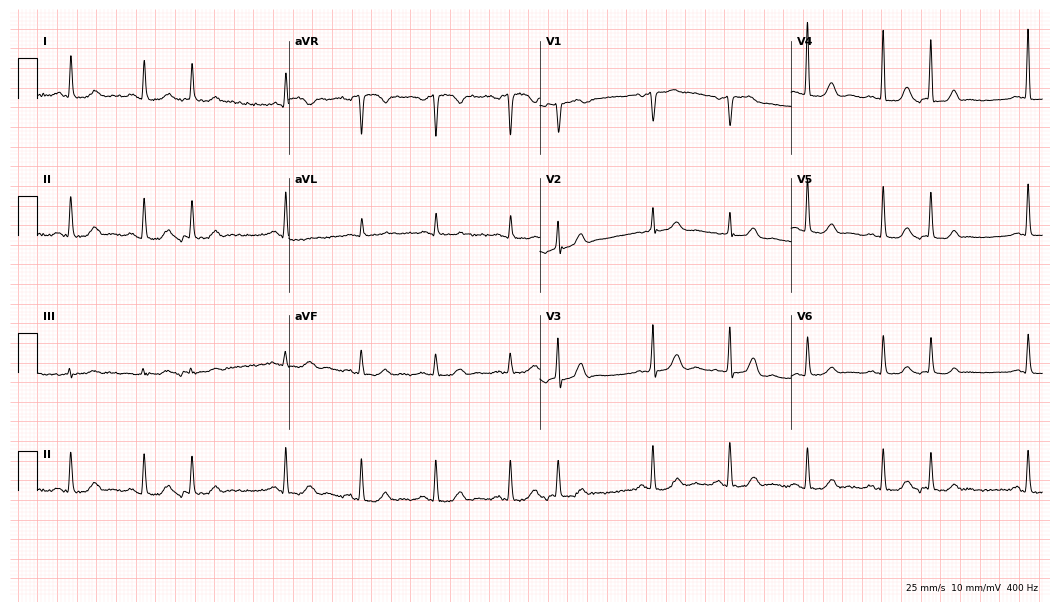
12-lead ECG from a female patient, 66 years old (10.2-second recording at 400 Hz). Shows atrial fibrillation (AF).